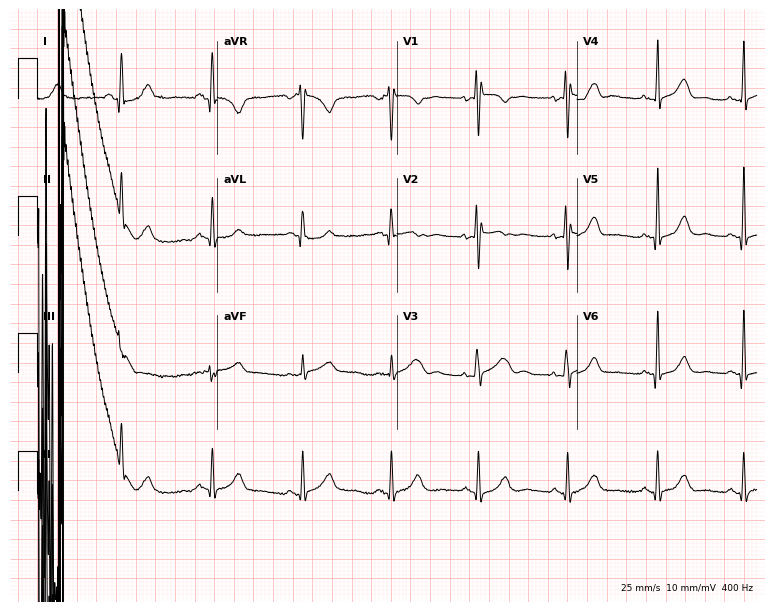
Standard 12-lead ECG recorded from a female, 56 years old. Read as a normal ECG.